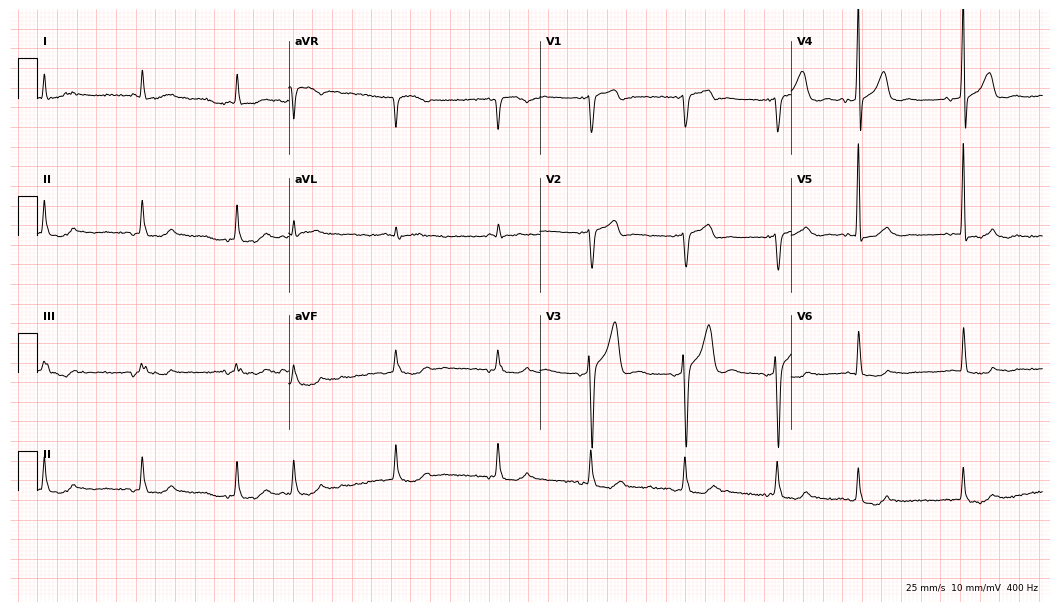
Standard 12-lead ECG recorded from a 77-year-old male (10.2-second recording at 400 Hz). None of these six findings is recorded: first-degree AV block, right bundle branch block, left bundle branch block, sinus bradycardia, atrial fibrillation, sinus tachycardia. Other findings, if any, are not listed.